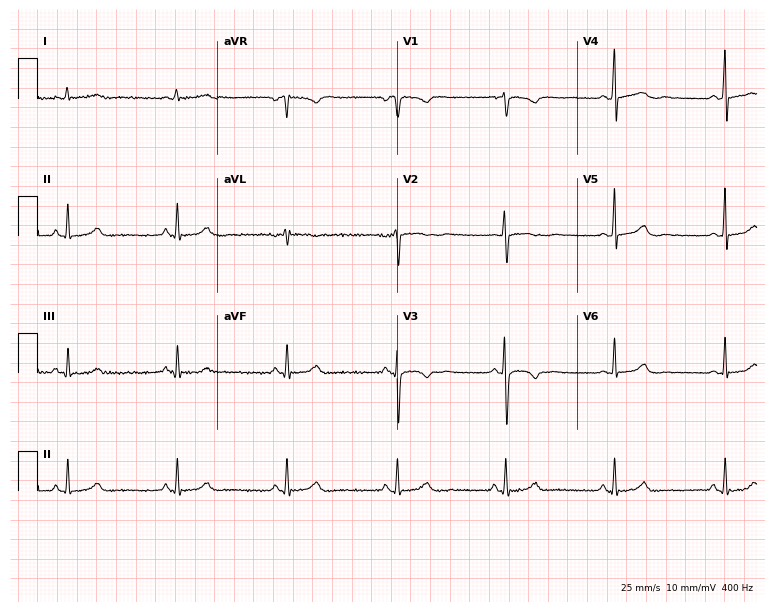
Resting 12-lead electrocardiogram (7.3-second recording at 400 Hz). Patient: a female, 17 years old. Read as a normal ECG.